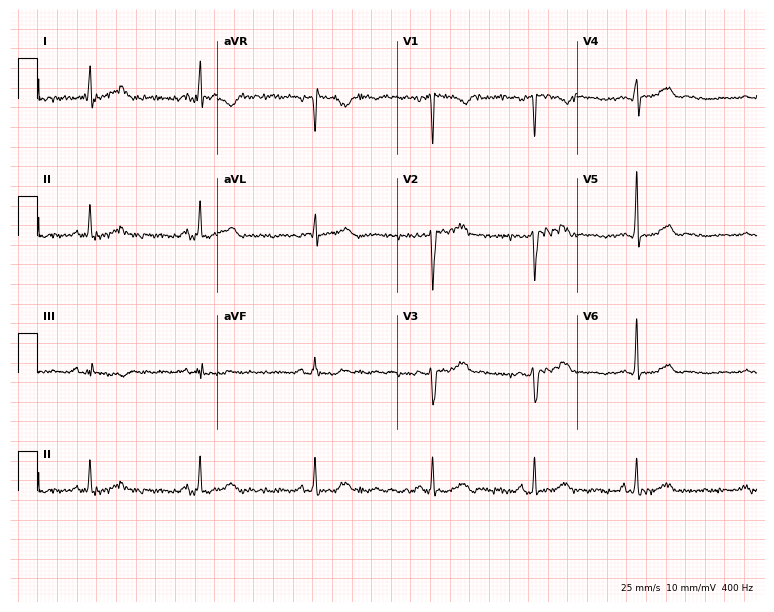
Electrocardiogram (7.3-second recording at 400 Hz), a 34-year-old woman. Of the six screened findings (first-degree AV block, right bundle branch block, left bundle branch block, sinus bradycardia, atrial fibrillation, sinus tachycardia), none is recorded. Other findings, if any, are not listed.